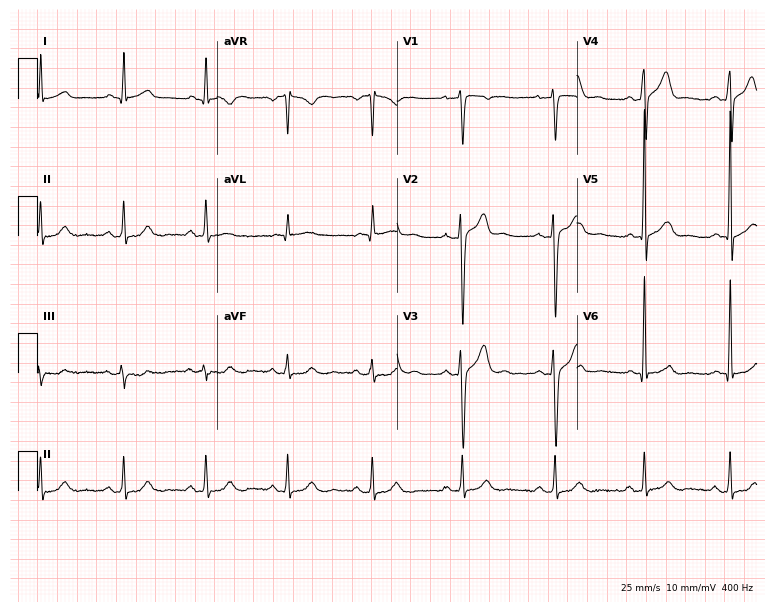
12-lead ECG from a 43-year-old male (7.3-second recording at 400 Hz). No first-degree AV block, right bundle branch block (RBBB), left bundle branch block (LBBB), sinus bradycardia, atrial fibrillation (AF) or sinus tachycardia recorded for this tracing.